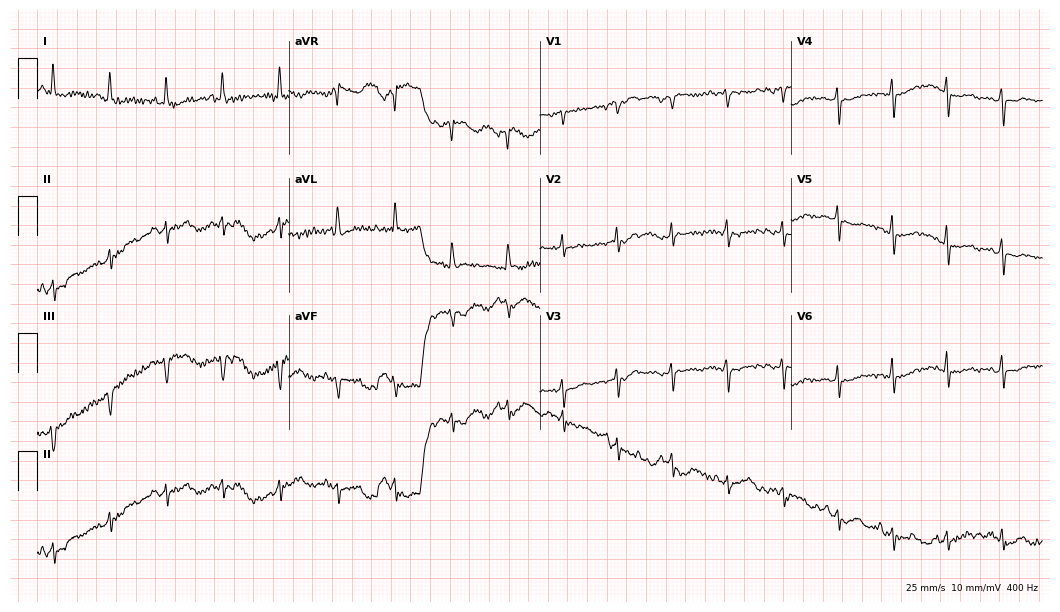
12-lead ECG from a 58-year-old female. Screened for six findings — first-degree AV block, right bundle branch block, left bundle branch block, sinus bradycardia, atrial fibrillation, sinus tachycardia — none is recorded.